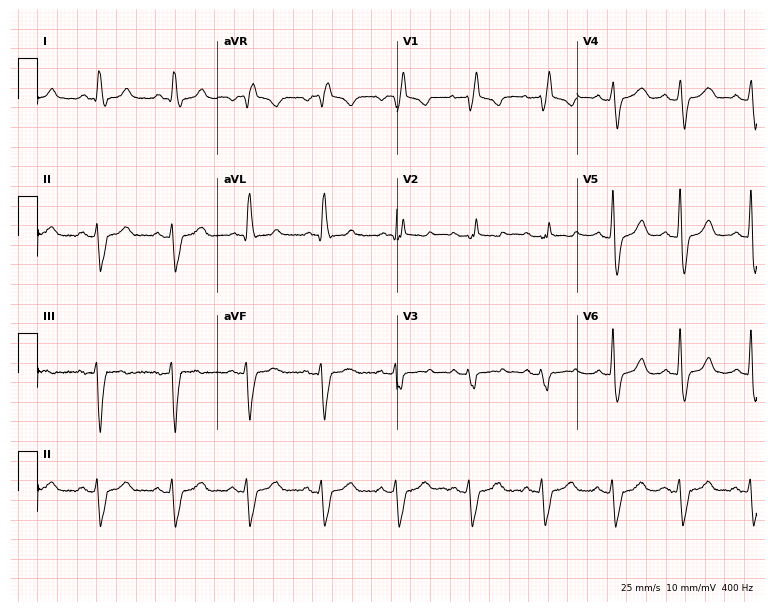
Standard 12-lead ECG recorded from a 56-year-old female. The tracing shows right bundle branch block.